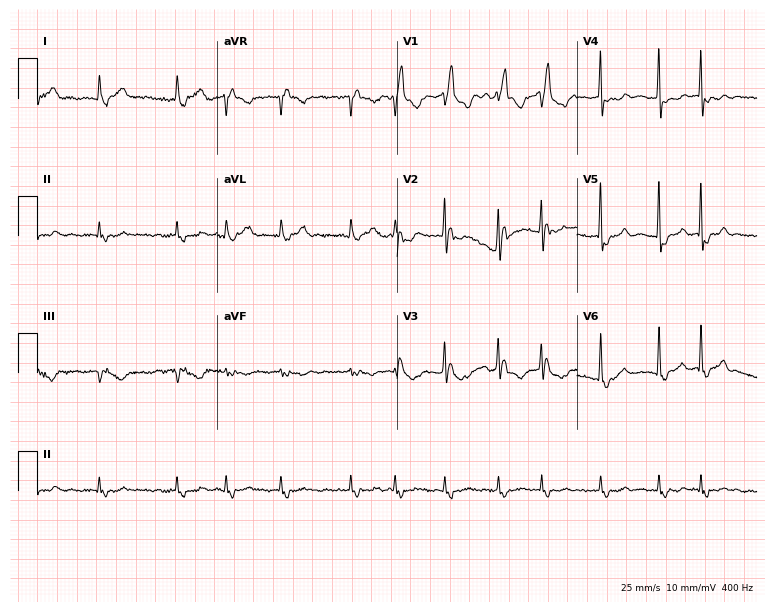
12-lead ECG from a male patient, 82 years old. No first-degree AV block, right bundle branch block, left bundle branch block, sinus bradycardia, atrial fibrillation or sinus tachycardia recorded for this tracing.